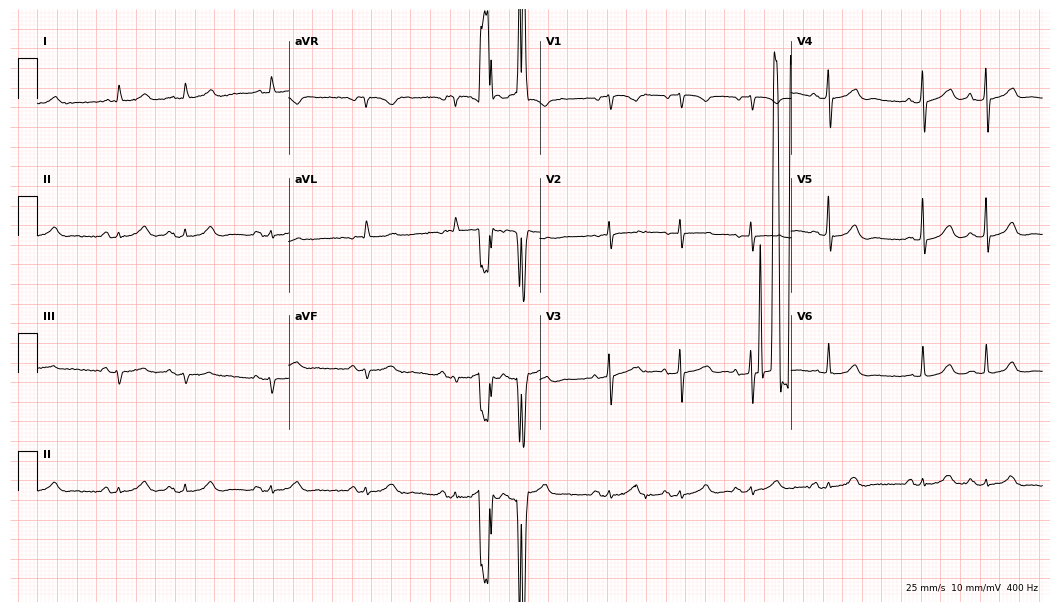
Resting 12-lead electrocardiogram. Patient: a 78-year-old female. None of these six findings is recorded: first-degree AV block, right bundle branch block, left bundle branch block, sinus bradycardia, atrial fibrillation, sinus tachycardia. Other findings, if any, are not listed.